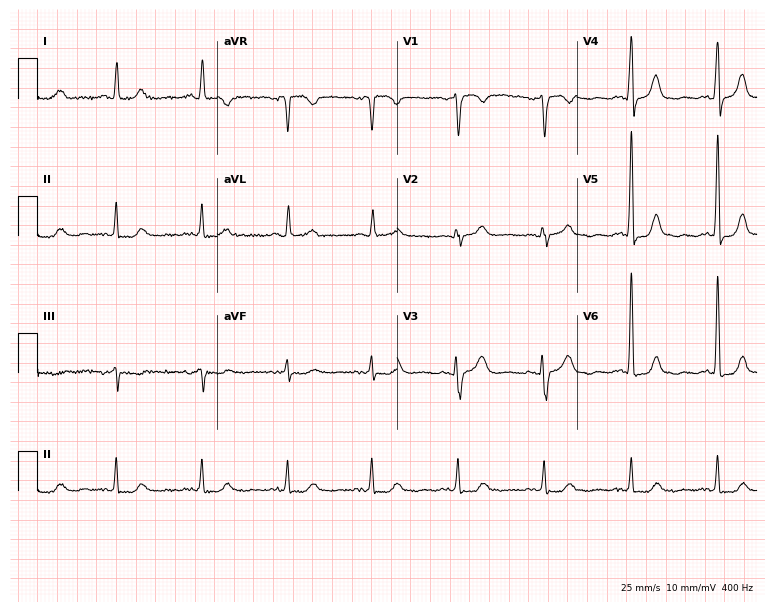
Resting 12-lead electrocardiogram. Patient: a female, 56 years old. None of these six findings is recorded: first-degree AV block, right bundle branch block, left bundle branch block, sinus bradycardia, atrial fibrillation, sinus tachycardia. Only these six findings were labelled.